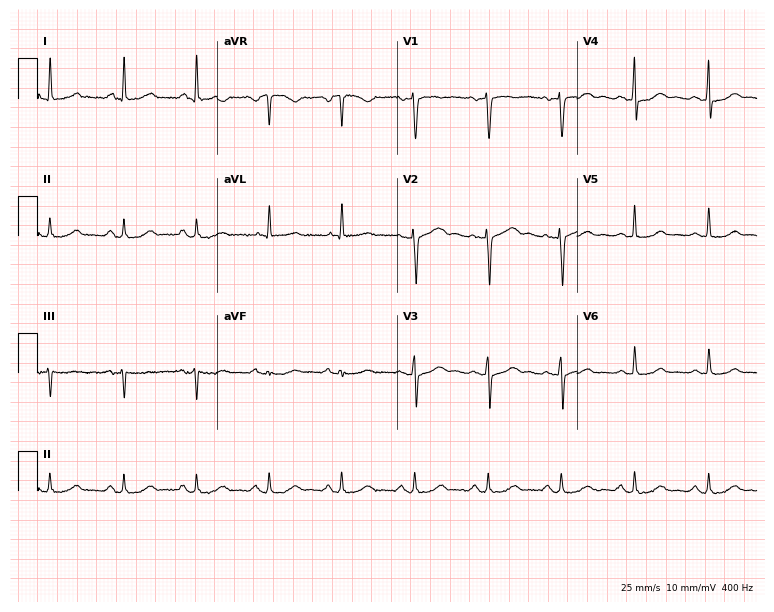
Electrocardiogram (7.3-second recording at 400 Hz), a 59-year-old female patient. Overall reading on record: normal ECG.